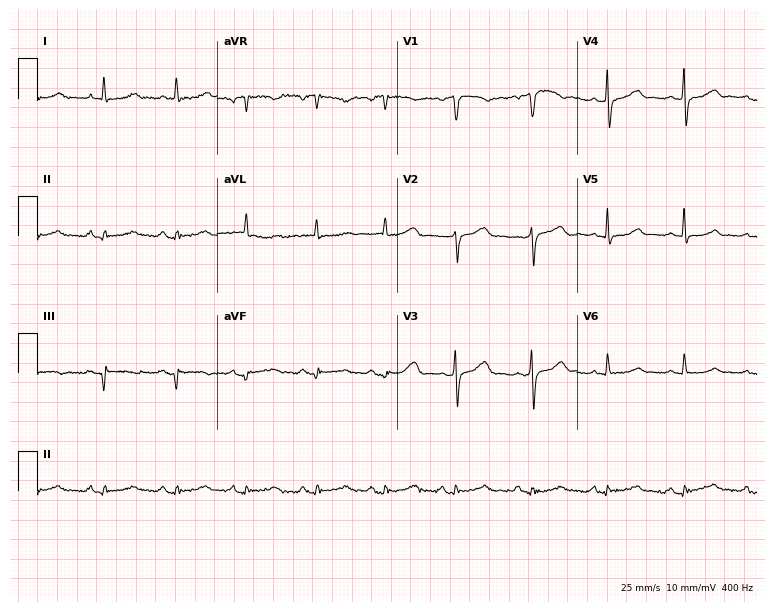
12-lead ECG from a female, 64 years old. No first-degree AV block, right bundle branch block, left bundle branch block, sinus bradycardia, atrial fibrillation or sinus tachycardia recorded for this tracing. Findings outside these six are not listed.